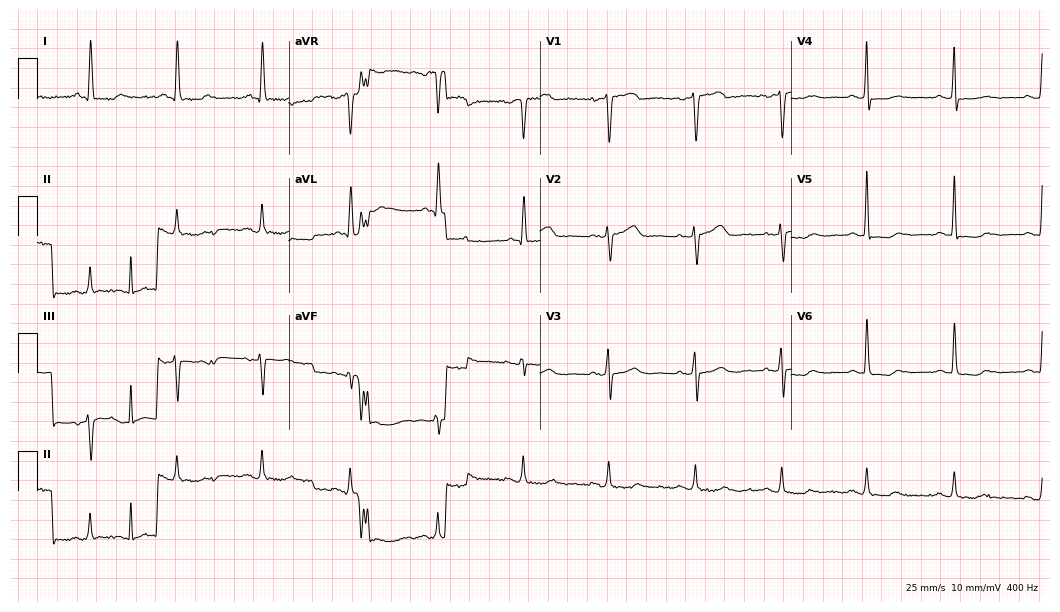
12-lead ECG from a 66-year-old woman (10.2-second recording at 400 Hz). No first-degree AV block, right bundle branch block, left bundle branch block, sinus bradycardia, atrial fibrillation or sinus tachycardia recorded for this tracing.